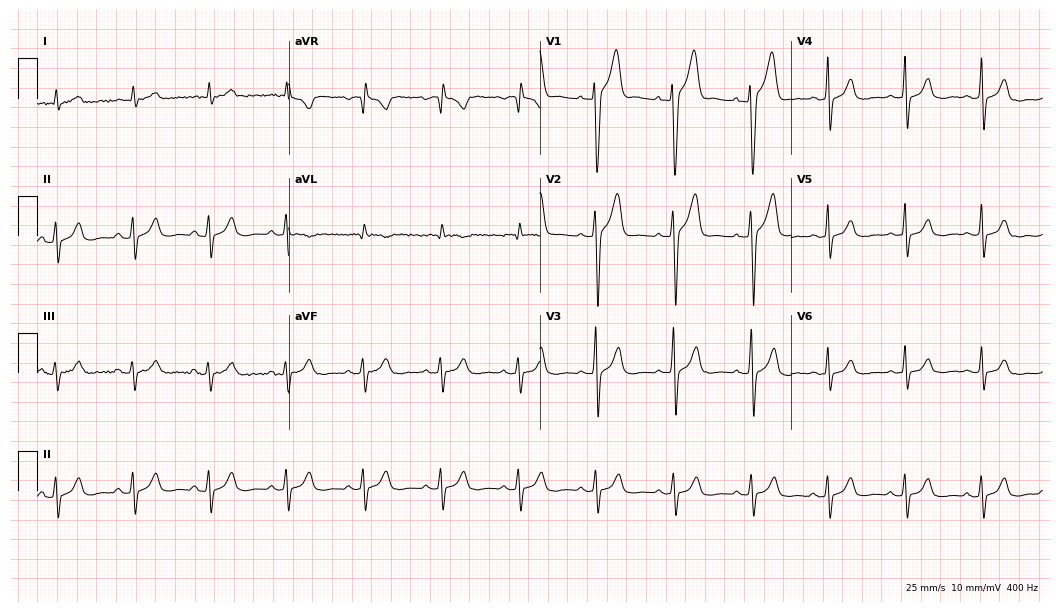
12-lead ECG from a 38-year-old male patient. Screened for six findings — first-degree AV block, right bundle branch block, left bundle branch block, sinus bradycardia, atrial fibrillation, sinus tachycardia — none is recorded.